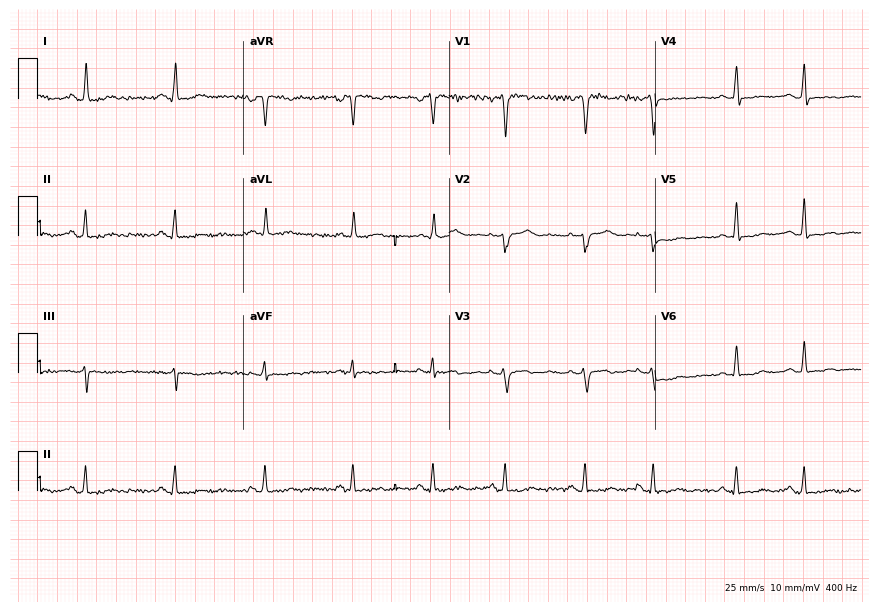
Electrocardiogram (8.4-second recording at 400 Hz), a 48-year-old female. Of the six screened findings (first-degree AV block, right bundle branch block, left bundle branch block, sinus bradycardia, atrial fibrillation, sinus tachycardia), none is recorded. Only these six findings were labelled.